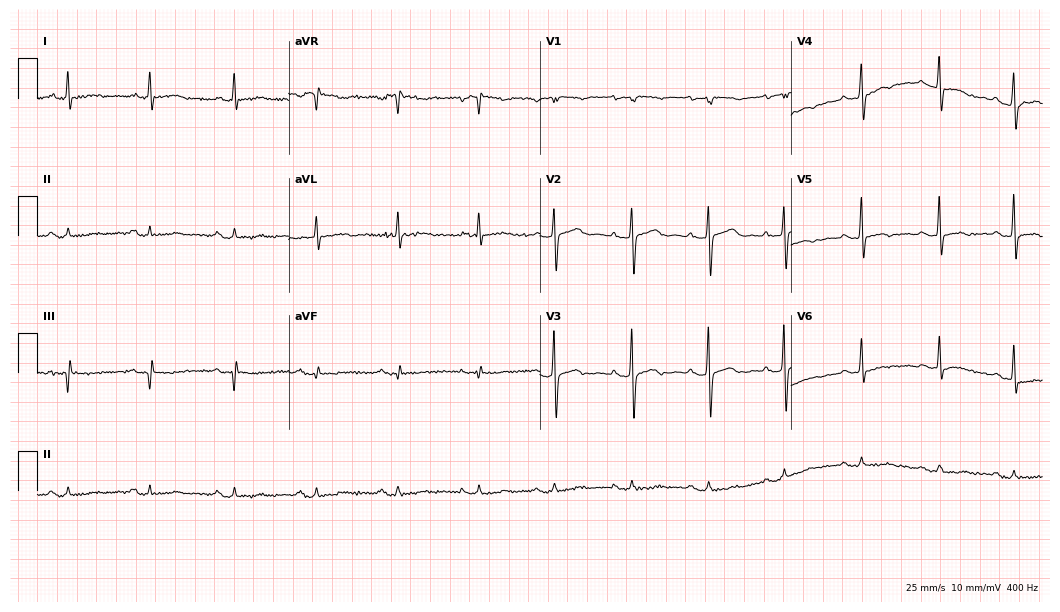
ECG — a woman, 70 years old. Screened for six findings — first-degree AV block, right bundle branch block (RBBB), left bundle branch block (LBBB), sinus bradycardia, atrial fibrillation (AF), sinus tachycardia — none is recorded.